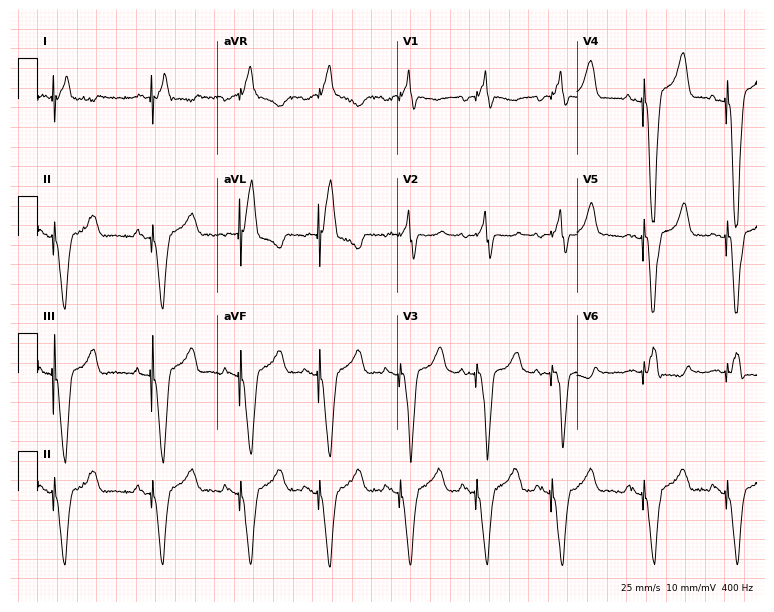
ECG (7.3-second recording at 400 Hz) — a 65-year-old male. Screened for six findings — first-degree AV block, right bundle branch block (RBBB), left bundle branch block (LBBB), sinus bradycardia, atrial fibrillation (AF), sinus tachycardia — none is recorded. Findings outside these six are not listed.